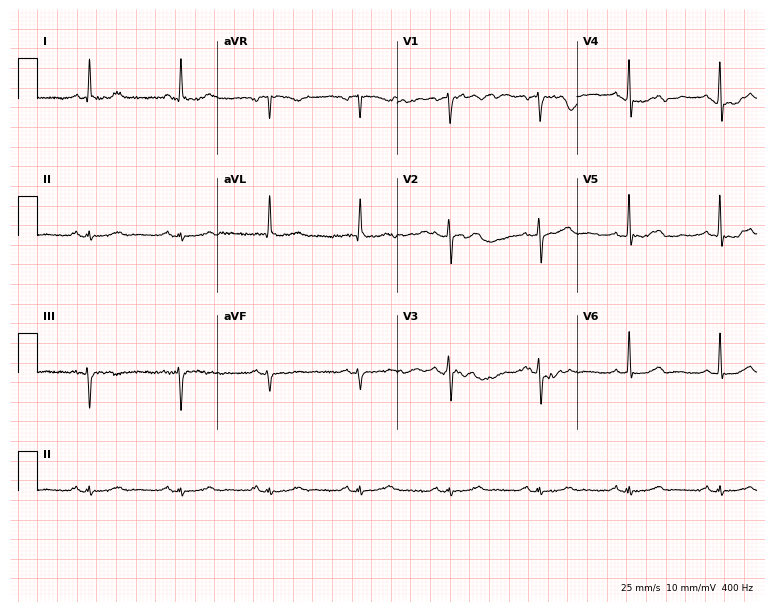
Standard 12-lead ECG recorded from a man, 82 years old. Read as a normal ECG.